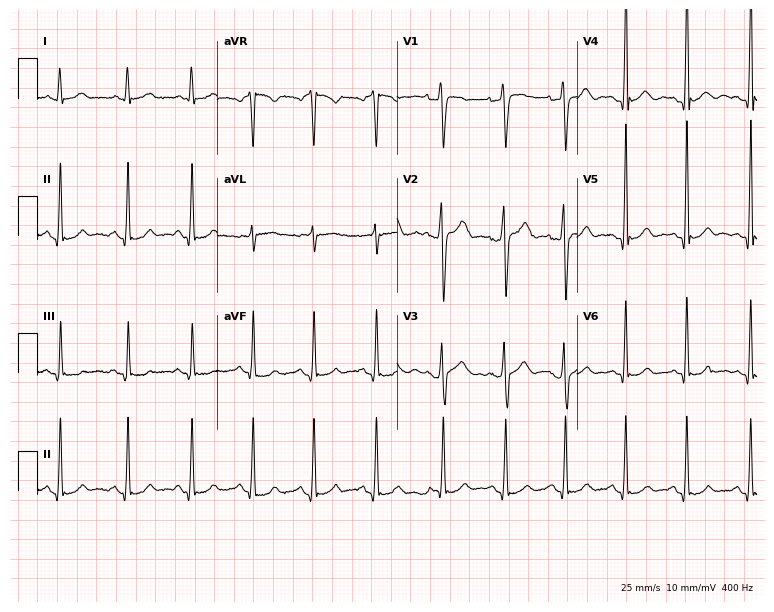
12-lead ECG from a male, 20 years old (7.3-second recording at 400 Hz). Recorded interpretation: within normal limits.